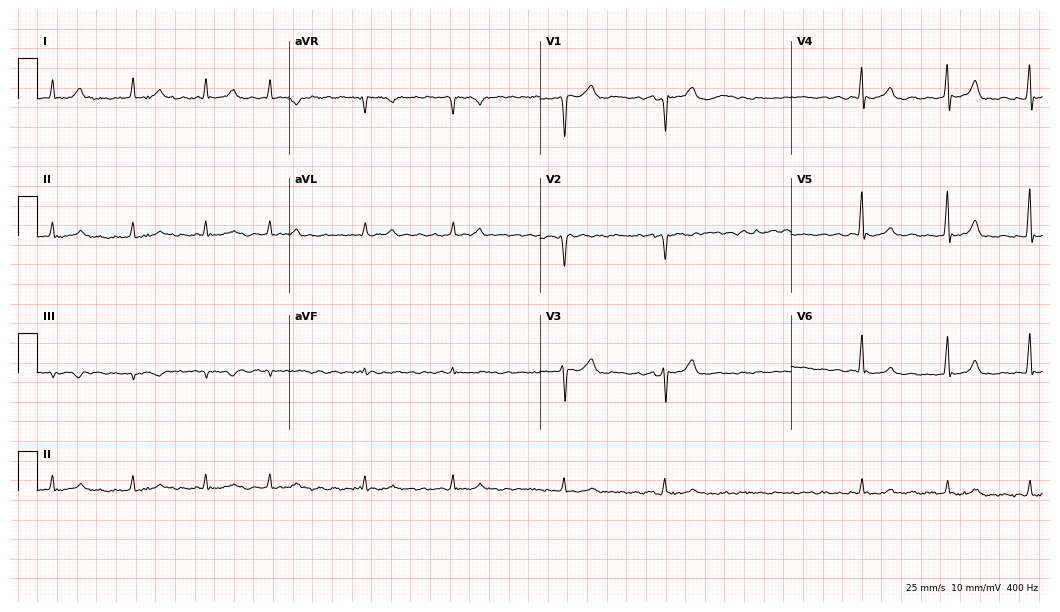
12-lead ECG from a male patient, 56 years old. Findings include atrial fibrillation (AF).